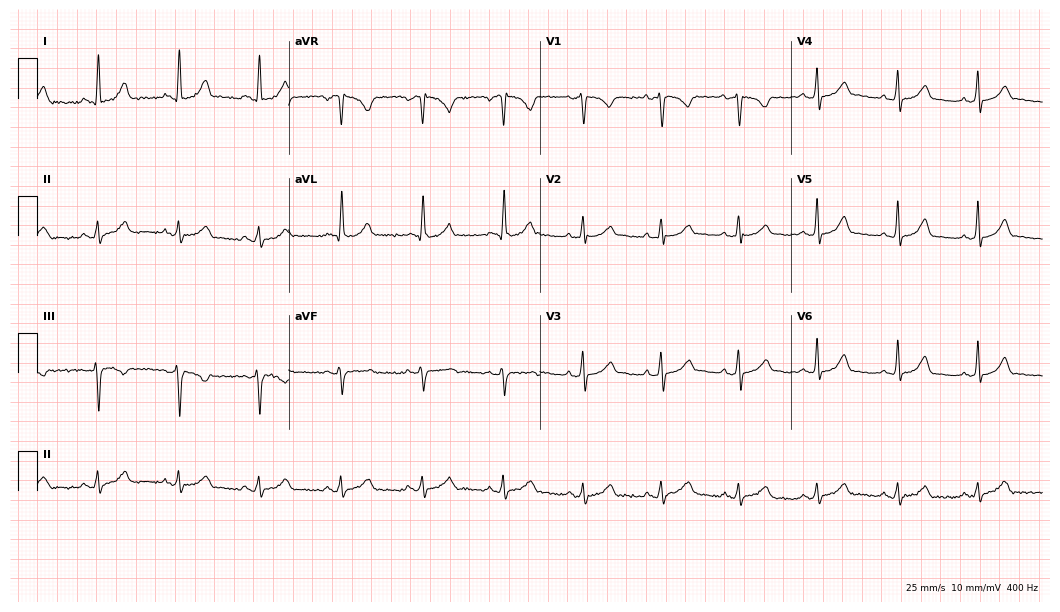
12-lead ECG from a female, 38 years old. No first-degree AV block, right bundle branch block (RBBB), left bundle branch block (LBBB), sinus bradycardia, atrial fibrillation (AF) or sinus tachycardia recorded for this tracing. Other findings, if any, are not listed.